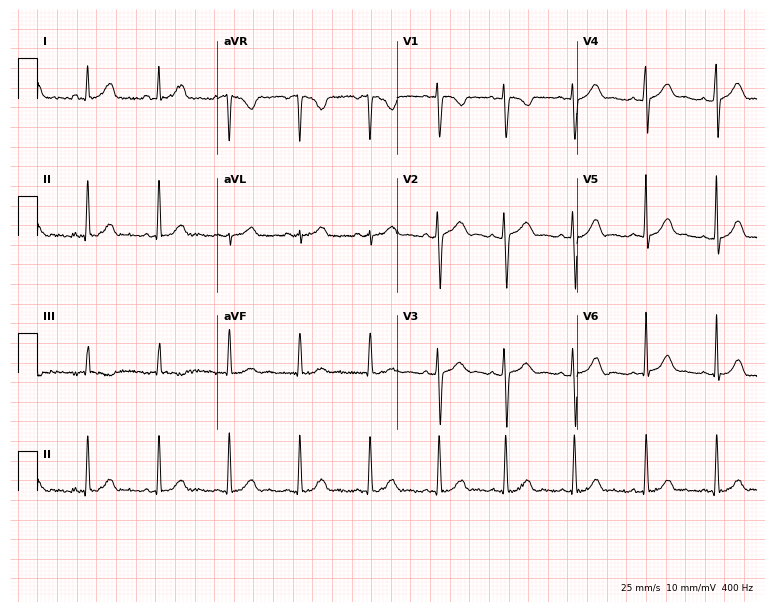
Standard 12-lead ECG recorded from a 21-year-old woman (7.3-second recording at 400 Hz). Read as a normal ECG.